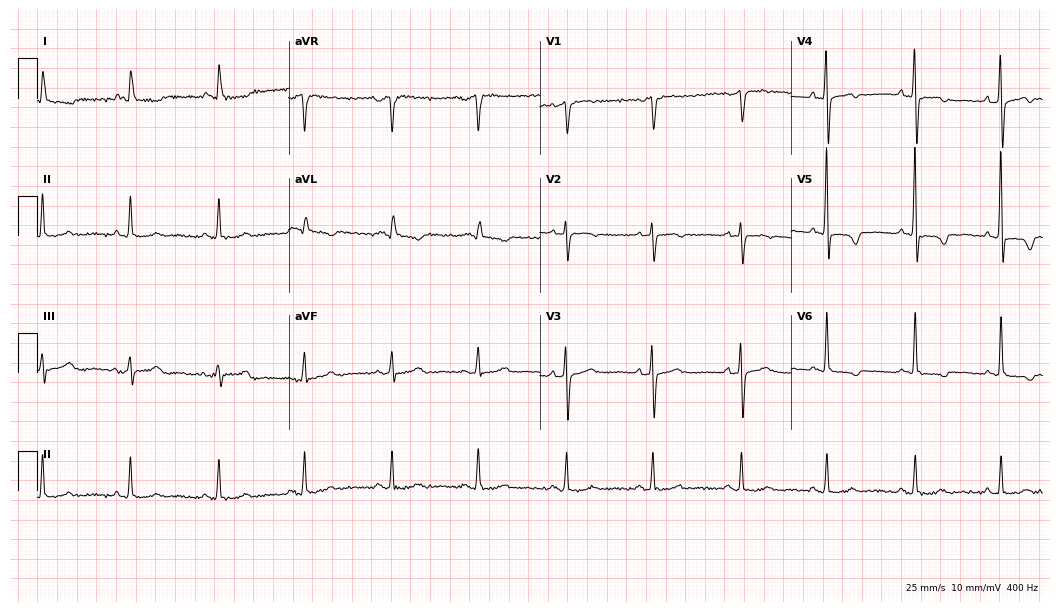
12-lead ECG from a 70-year-old female patient (10.2-second recording at 400 Hz). No first-degree AV block, right bundle branch block (RBBB), left bundle branch block (LBBB), sinus bradycardia, atrial fibrillation (AF) or sinus tachycardia recorded for this tracing.